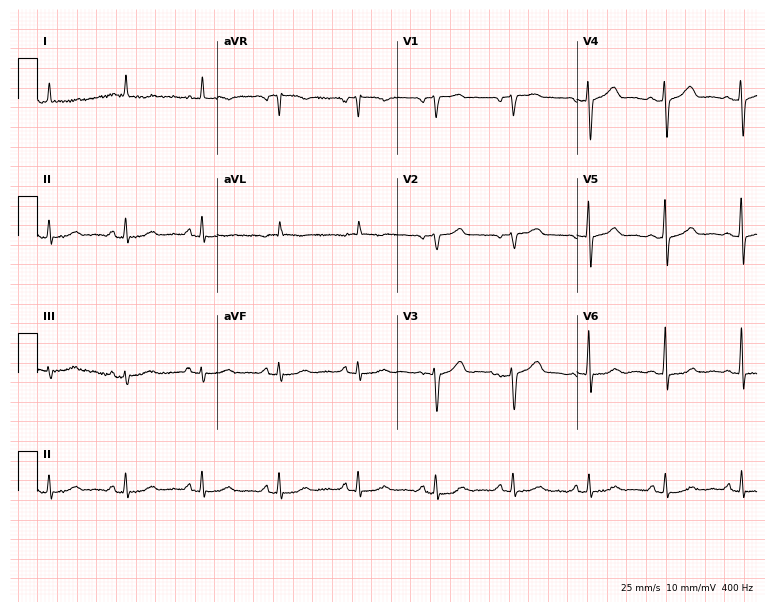
12-lead ECG from a 51-year-old female patient (7.3-second recording at 400 Hz). No first-degree AV block, right bundle branch block, left bundle branch block, sinus bradycardia, atrial fibrillation or sinus tachycardia recorded for this tracing.